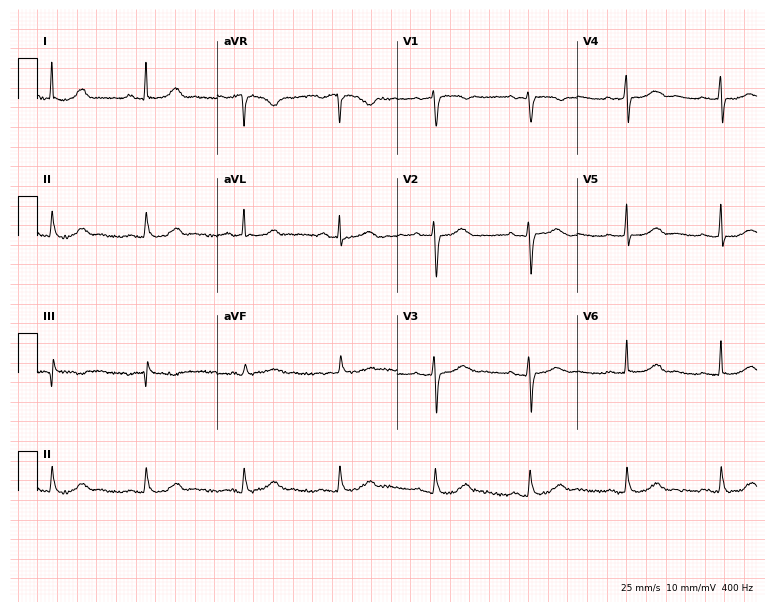
Standard 12-lead ECG recorded from a female patient, 60 years old (7.3-second recording at 400 Hz). Read as a normal ECG.